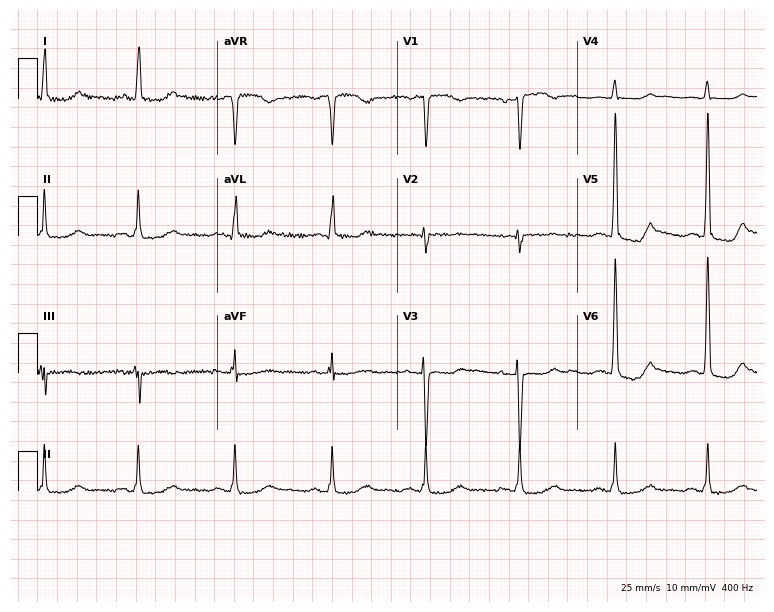
12-lead ECG from a woman, 46 years old (7.3-second recording at 400 Hz). No first-degree AV block, right bundle branch block, left bundle branch block, sinus bradycardia, atrial fibrillation or sinus tachycardia recorded for this tracing.